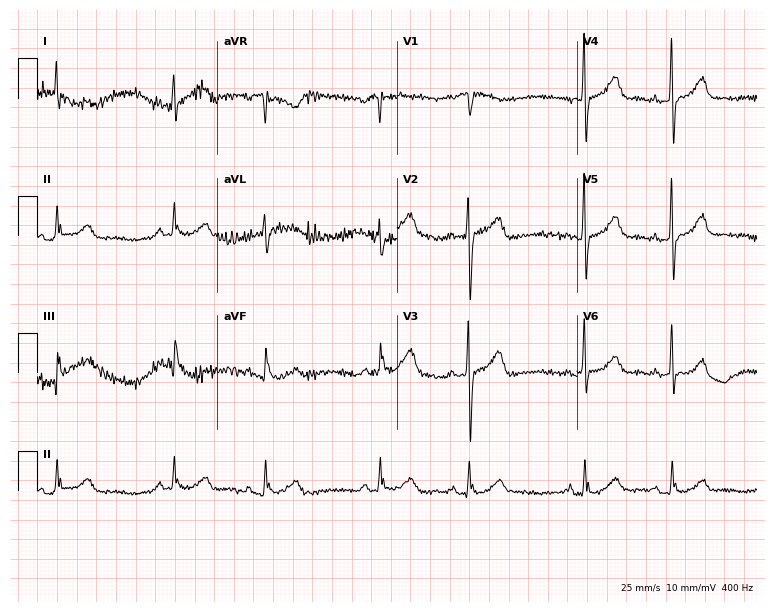
12-lead ECG from a 75-year-old male patient. Labelled as a normal ECG.